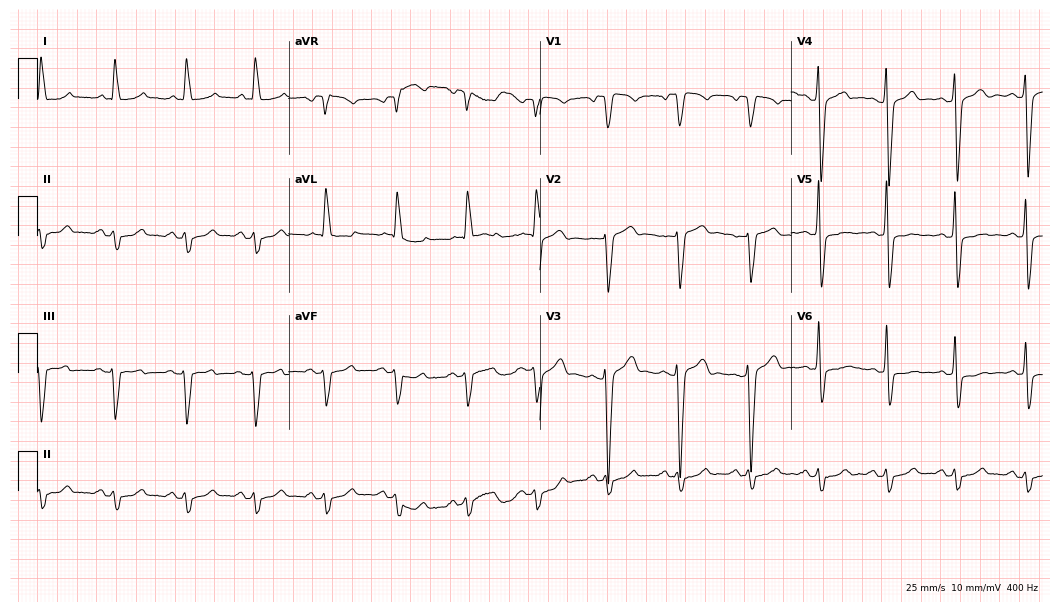
Standard 12-lead ECG recorded from a male, 72 years old. None of these six findings is recorded: first-degree AV block, right bundle branch block (RBBB), left bundle branch block (LBBB), sinus bradycardia, atrial fibrillation (AF), sinus tachycardia.